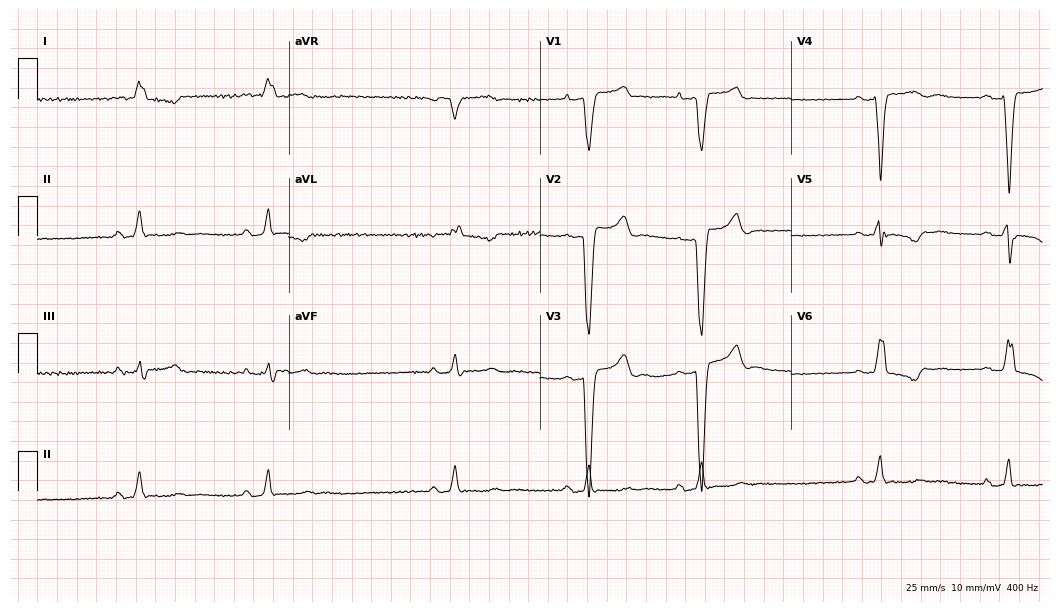
Electrocardiogram, an 82-year-old female. Interpretation includes left bundle branch block.